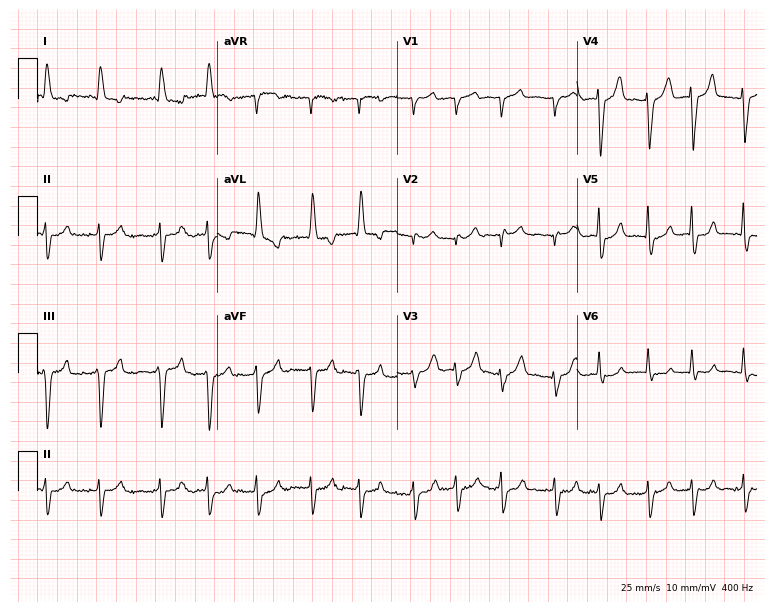
ECG — an 85-year-old woman. Findings include atrial fibrillation (AF).